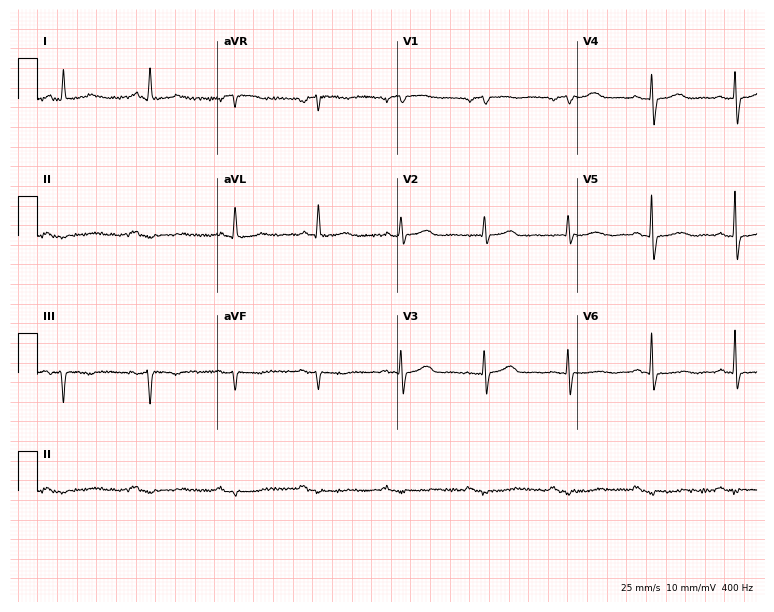
Resting 12-lead electrocardiogram (7.3-second recording at 400 Hz). Patient: a 67-year-old female. None of these six findings is recorded: first-degree AV block, right bundle branch block, left bundle branch block, sinus bradycardia, atrial fibrillation, sinus tachycardia. Findings outside these six are not listed.